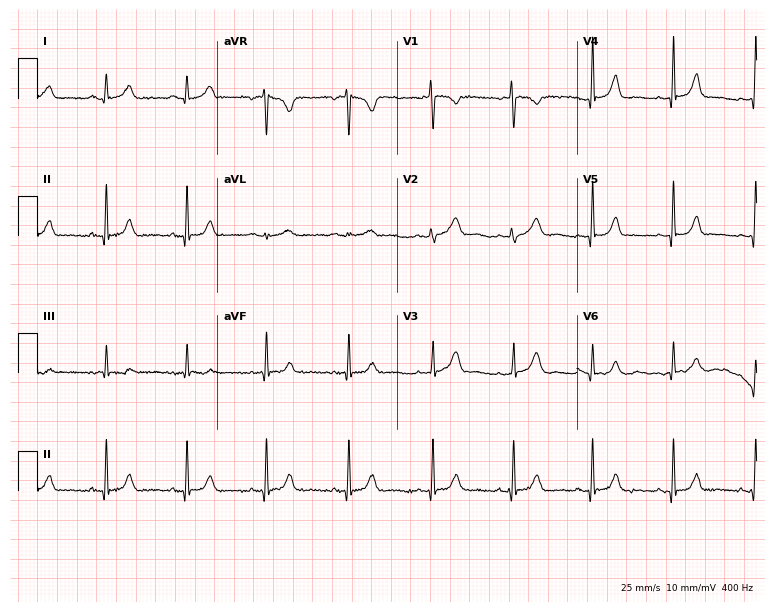
Electrocardiogram (7.3-second recording at 400 Hz), a woman, 32 years old. Of the six screened findings (first-degree AV block, right bundle branch block, left bundle branch block, sinus bradycardia, atrial fibrillation, sinus tachycardia), none is recorded.